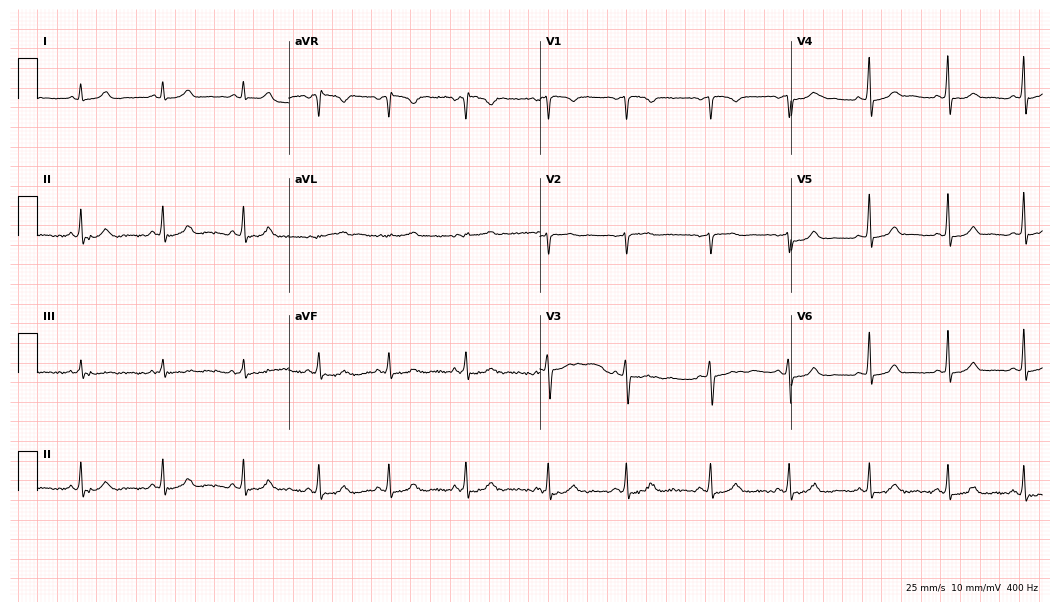
ECG (10.2-second recording at 400 Hz) — a 17-year-old female patient. Labelled as a normal ECG.